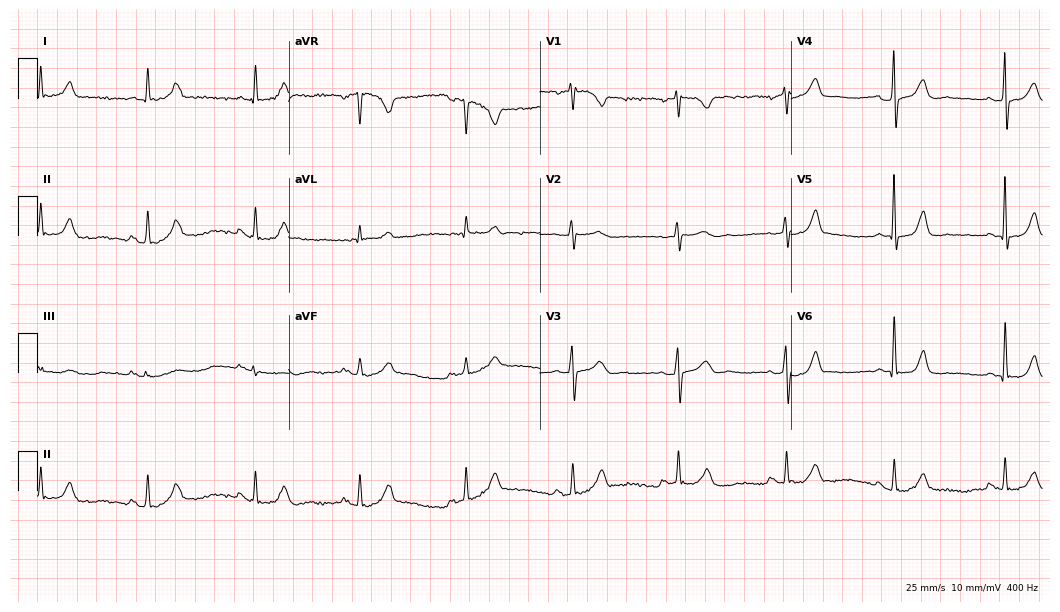
Standard 12-lead ECG recorded from a 61-year-old woman (10.2-second recording at 400 Hz). Read as a normal ECG.